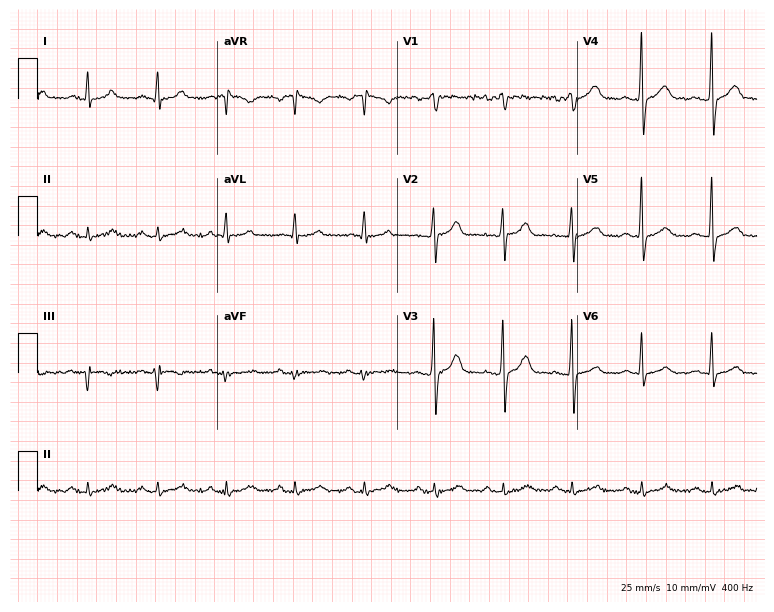
12-lead ECG (7.3-second recording at 400 Hz) from a male patient, 32 years old. Labelled as a normal ECG.